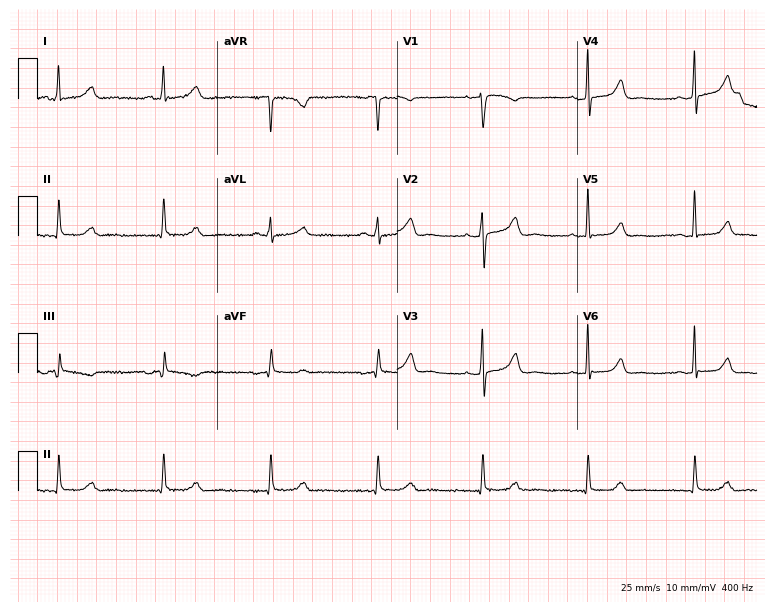
Electrocardiogram, a 52-year-old female patient. Overall reading on record: normal ECG.